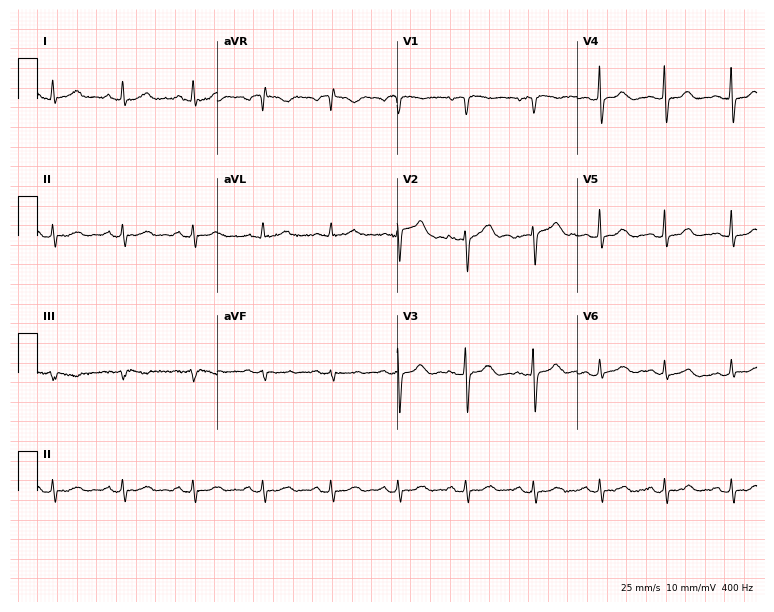
Standard 12-lead ECG recorded from a female patient, 66 years old (7.3-second recording at 400 Hz). Read as a normal ECG.